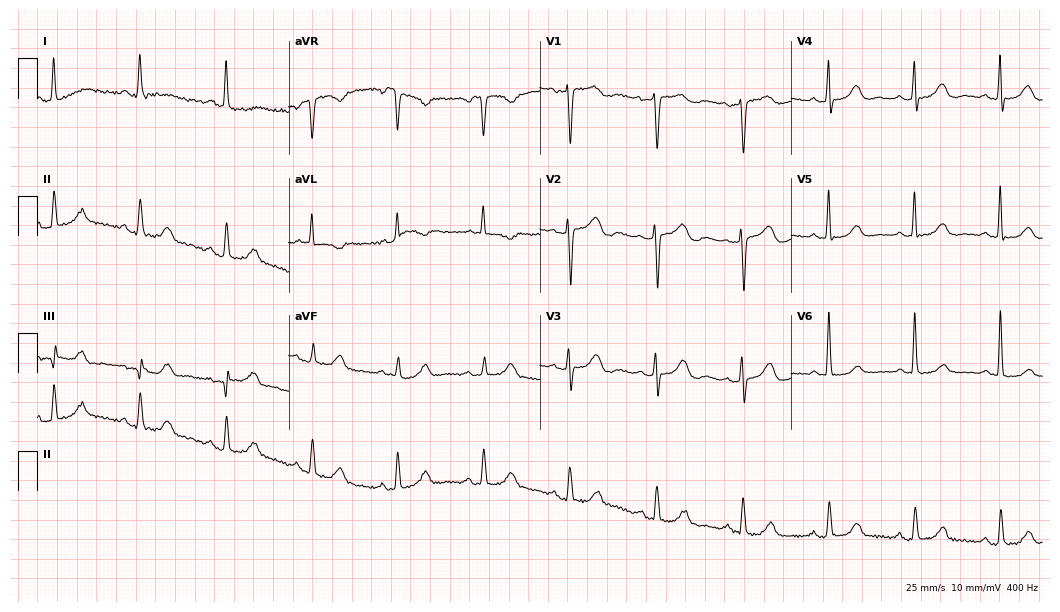
ECG — an 81-year-old female. Labelled as a normal ECG.